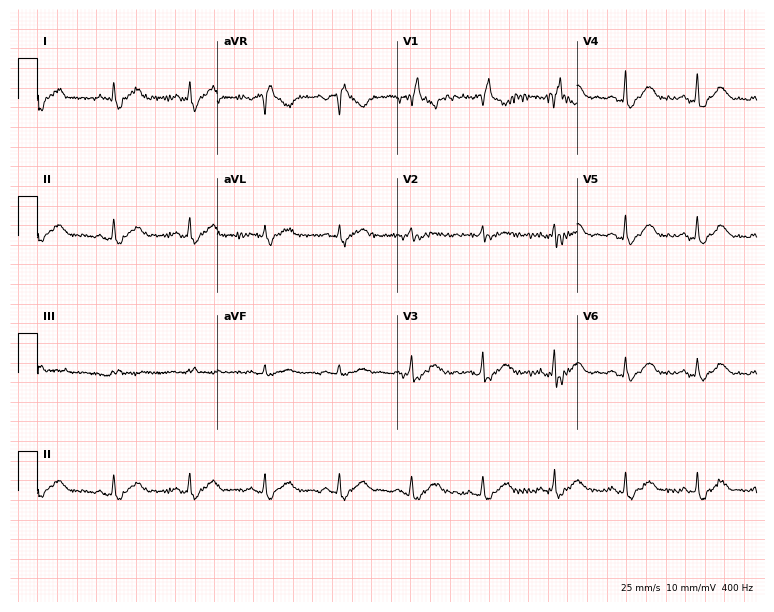
12-lead ECG from a female, 42 years old. Shows right bundle branch block.